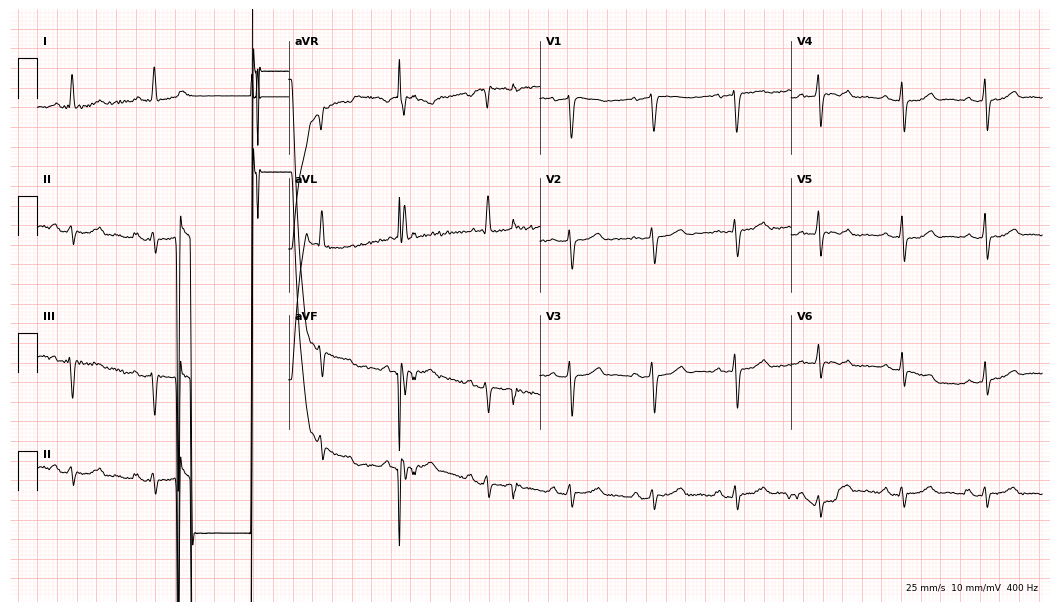
12-lead ECG from a 66-year-old female. No first-degree AV block, right bundle branch block, left bundle branch block, sinus bradycardia, atrial fibrillation or sinus tachycardia recorded for this tracing.